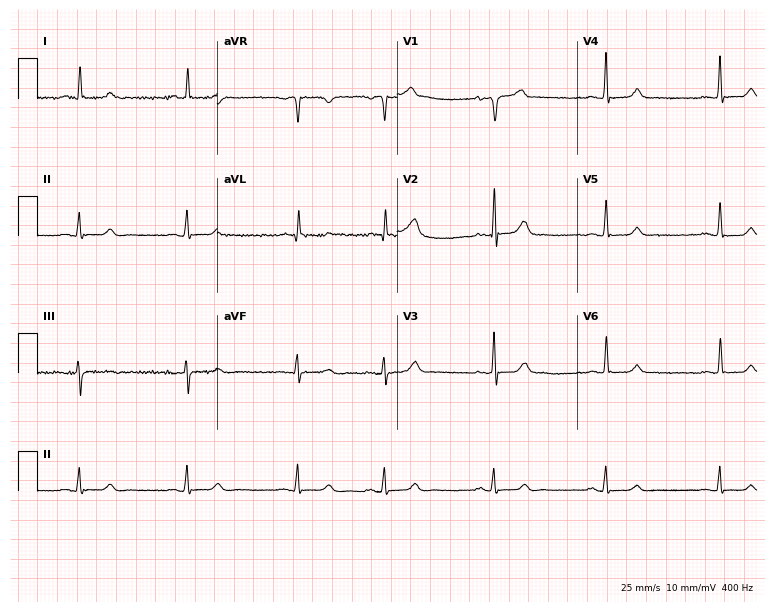
Resting 12-lead electrocardiogram (7.3-second recording at 400 Hz). Patient: a 65-year-old male. None of these six findings is recorded: first-degree AV block, right bundle branch block, left bundle branch block, sinus bradycardia, atrial fibrillation, sinus tachycardia.